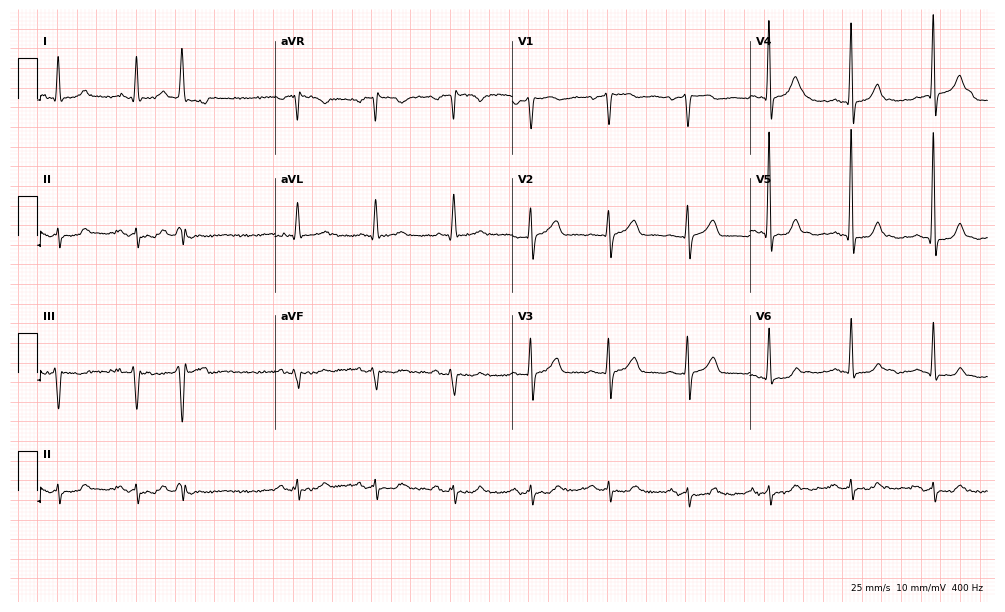
Standard 12-lead ECG recorded from a male patient, 83 years old (9.7-second recording at 400 Hz). None of these six findings is recorded: first-degree AV block, right bundle branch block (RBBB), left bundle branch block (LBBB), sinus bradycardia, atrial fibrillation (AF), sinus tachycardia. Only these six findings were labelled.